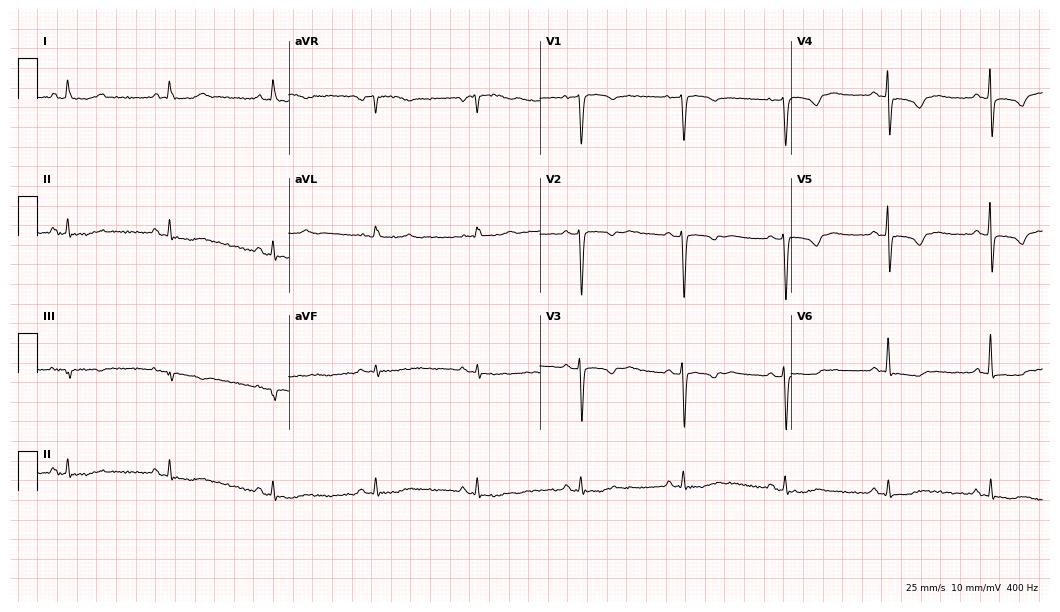
Resting 12-lead electrocardiogram (10.2-second recording at 400 Hz). Patient: a 69-year-old woman. None of these six findings is recorded: first-degree AV block, right bundle branch block (RBBB), left bundle branch block (LBBB), sinus bradycardia, atrial fibrillation (AF), sinus tachycardia.